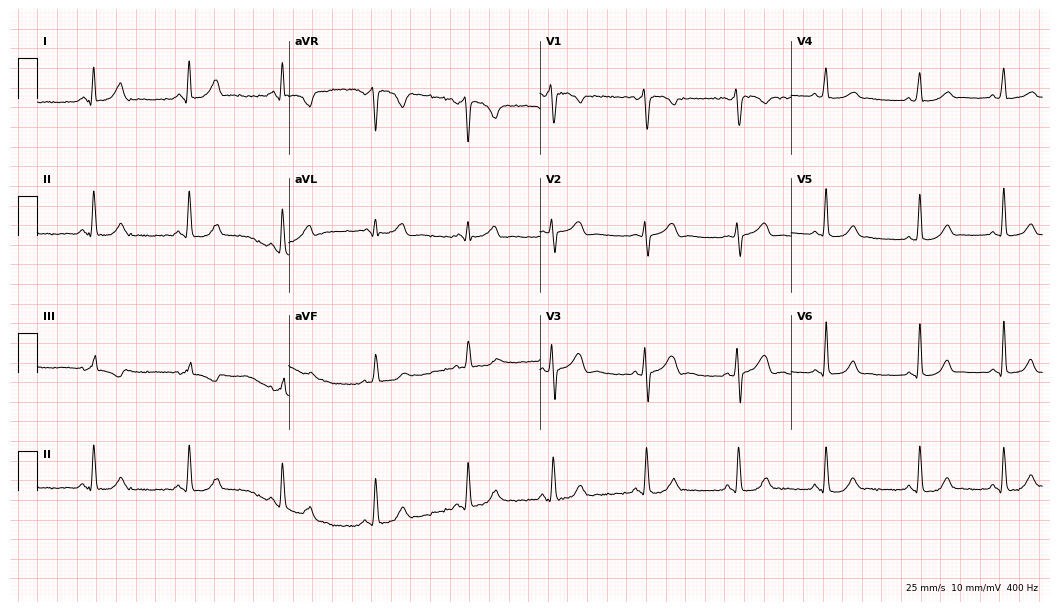
ECG (10.2-second recording at 400 Hz) — a woman, 19 years old. Screened for six findings — first-degree AV block, right bundle branch block, left bundle branch block, sinus bradycardia, atrial fibrillation, sinus tachycardia — none is recorded. Findings outside these six are not listed.